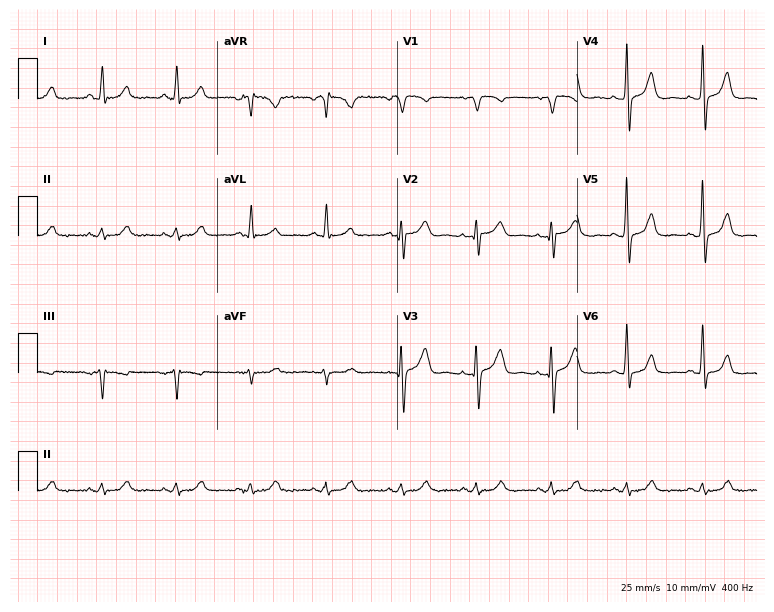
12-lead ECG from a 66-year-old male patient. Labelled as a normal ECG.